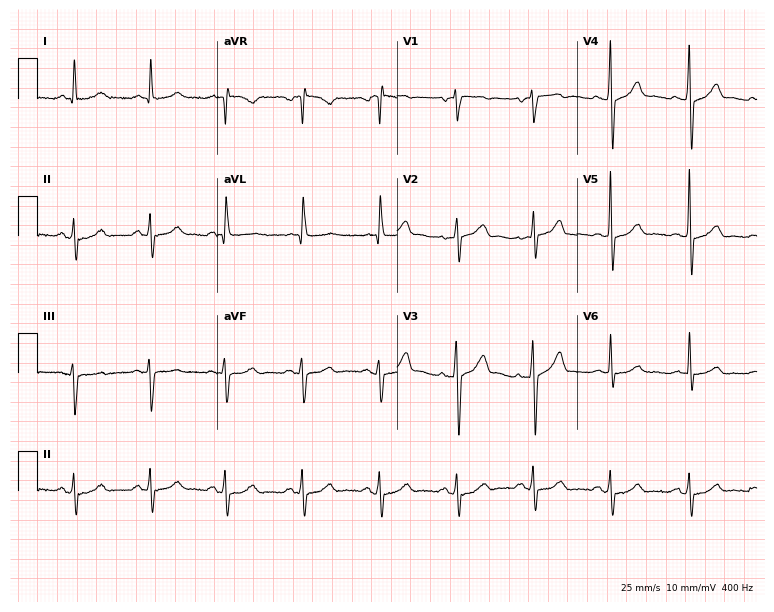
Electrocardiogram, a male, 74 years old. Overall reading on record: normal ECG.